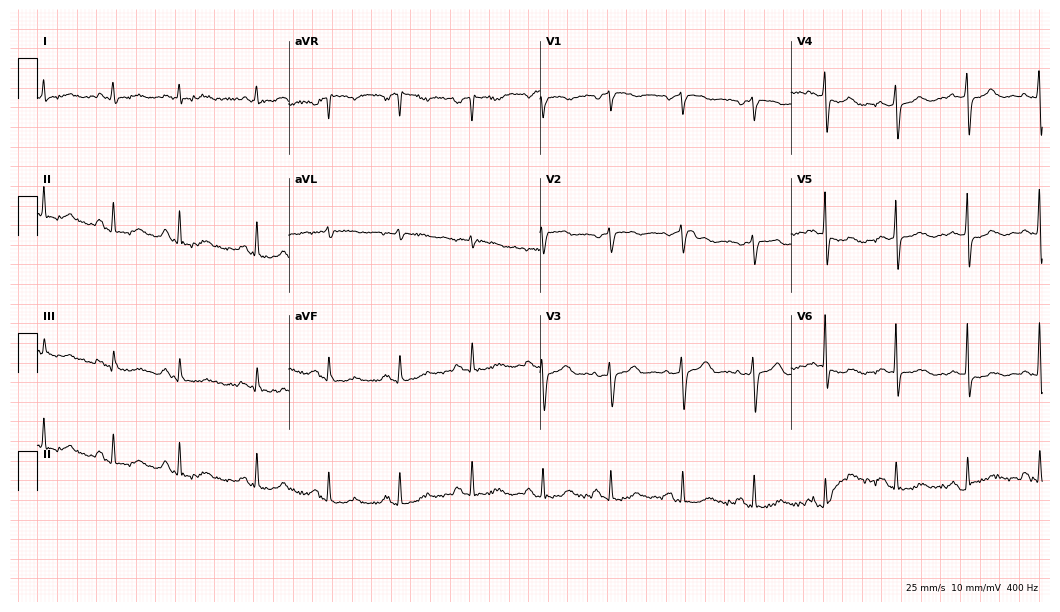
12-lead ECG (10.2-second recording at 400 Hz) from a female, 71 years old. Labelled as a normal ECG.